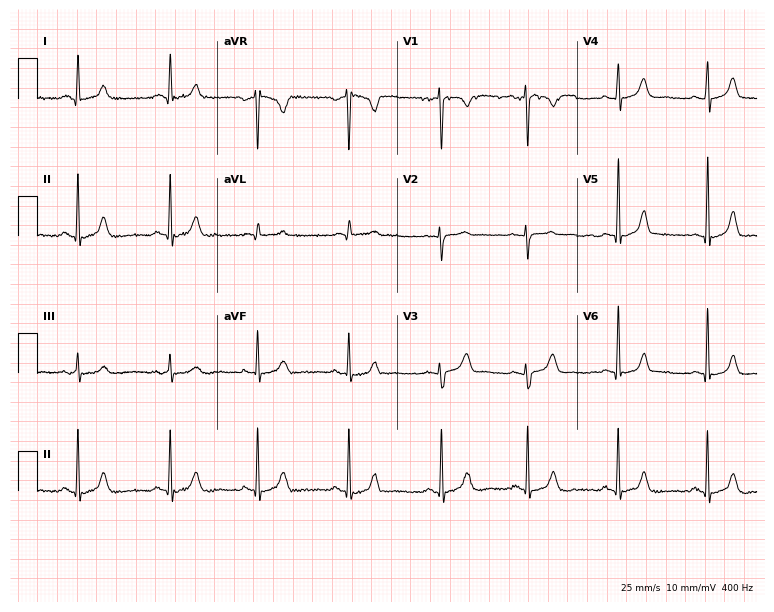
12-lead ECG from a 26-year-old woman. Recorded interpretation: within normal limits.